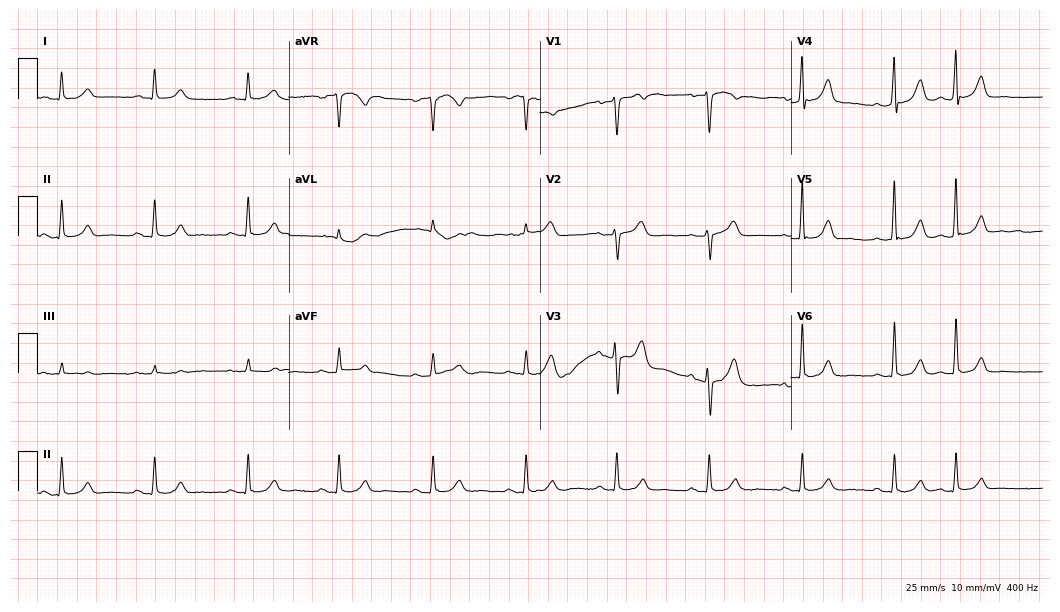
Standard 12-lead ECG recorded from a male, 76 years old (10.2-second recording at 400 Hz). Read as a normal ECG.